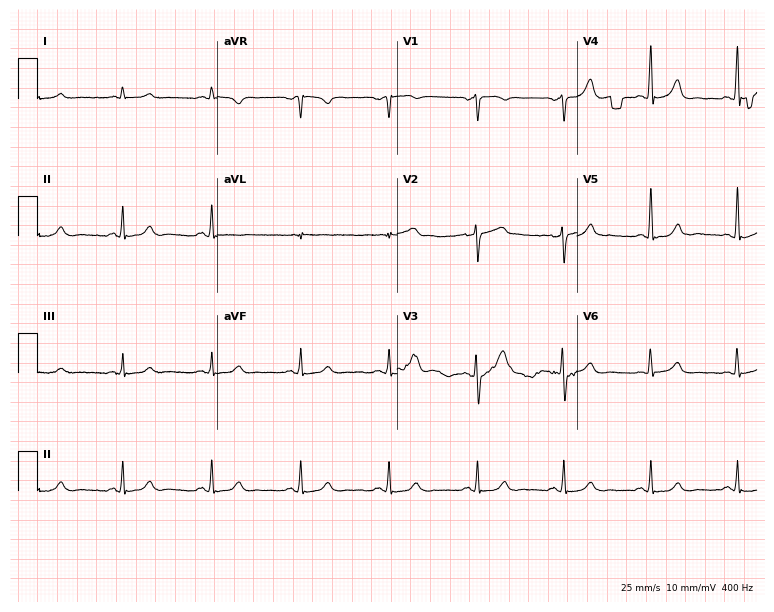
Resting 12-lead electrocardiogram. Patient: a male, 56 years old. Read as a normal ECG.